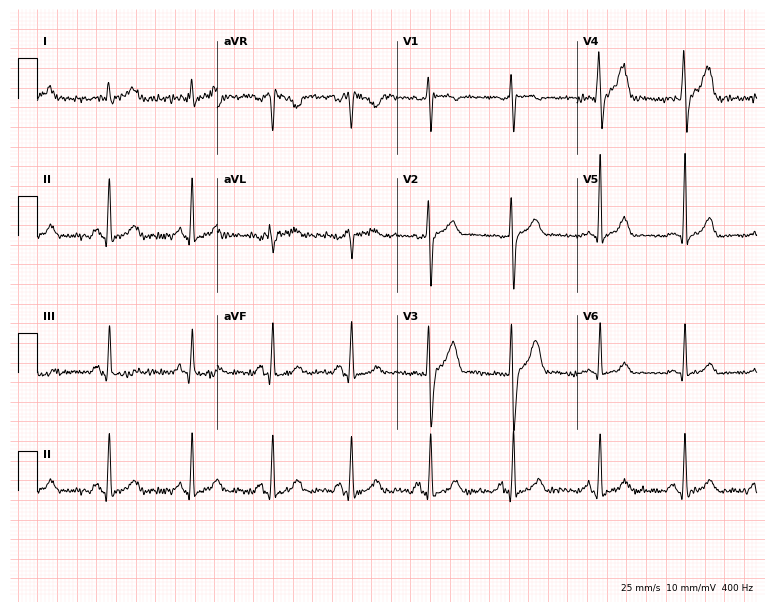
12-lead ECG from a 51-year-old male. Labelled as a normal ECG.